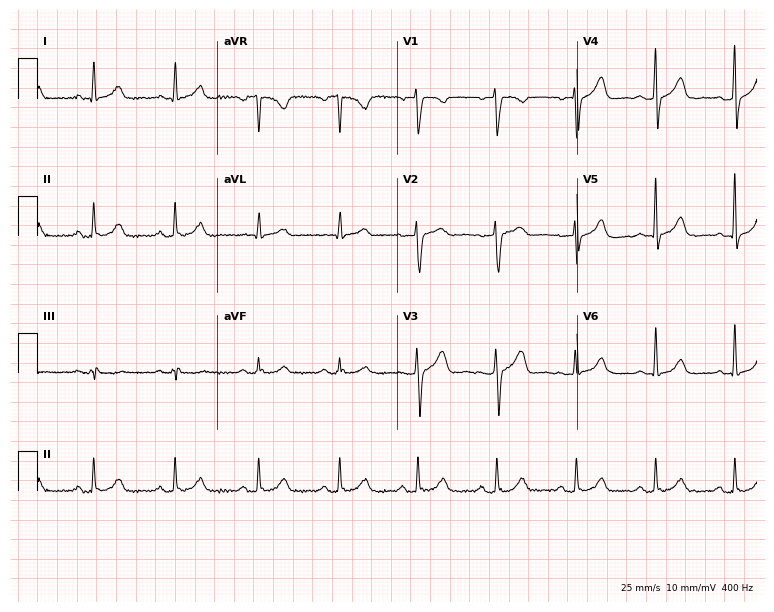
Electrocardiogram (7.3-second recording at 400 Hz), a 51-year-old female. Overall reading on record: normal ECG.